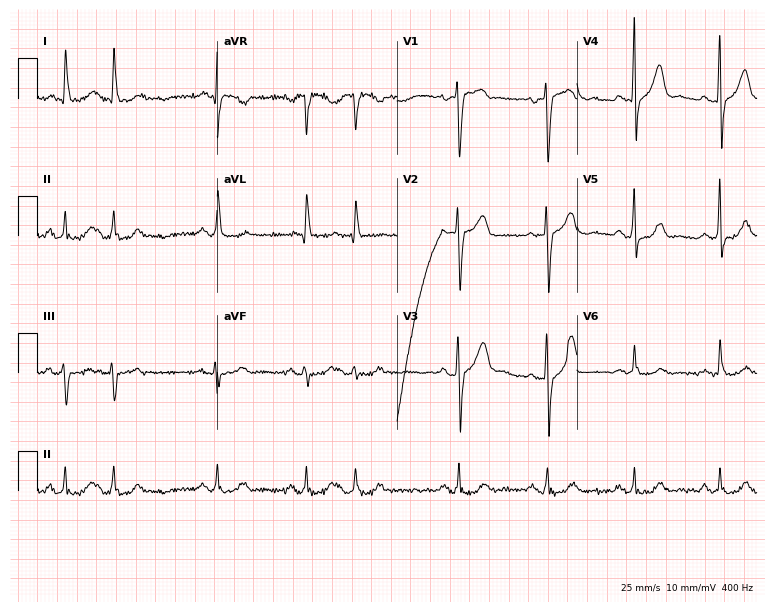
Standard 12-lead ECG recorded from a 76-year-old man. None of these six findings is recorded: first-degree AV block, right bundle branch block, left bundle branch block, sinus bradycardia, atrial fibrillation, sinus tachycardia. Only these six findings were labelled.